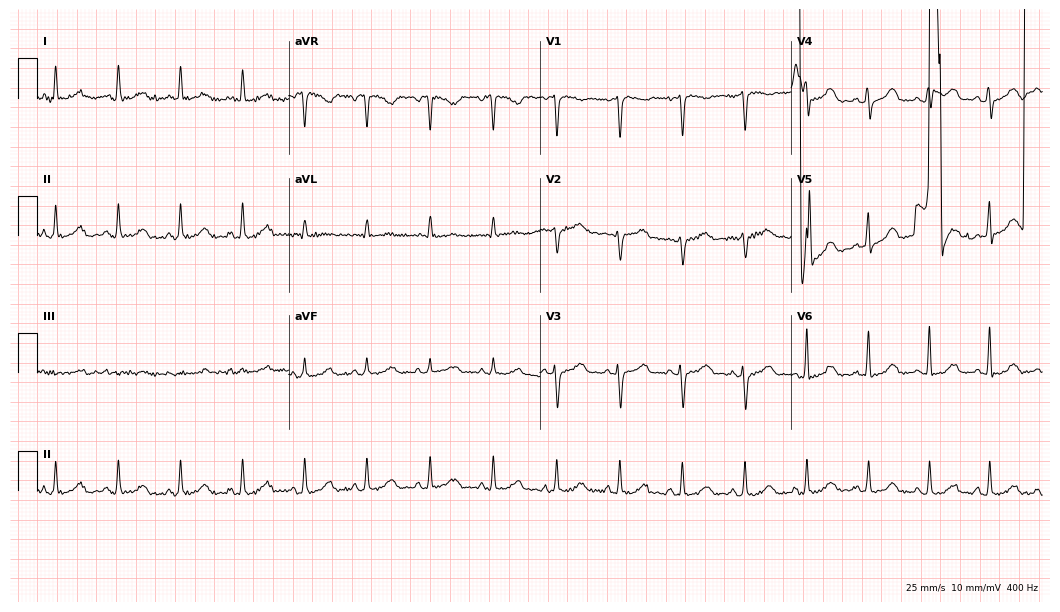
ECG — a female, 49 years old. Screened for six findings — first-degree AV block, right bundle branch block (RBBB), left bundle branch block (LBBB), sinus bradycardia, atrial fibrillation (AF), sinus tachycardia — none is recorded. Other findings, if any, are not listed.